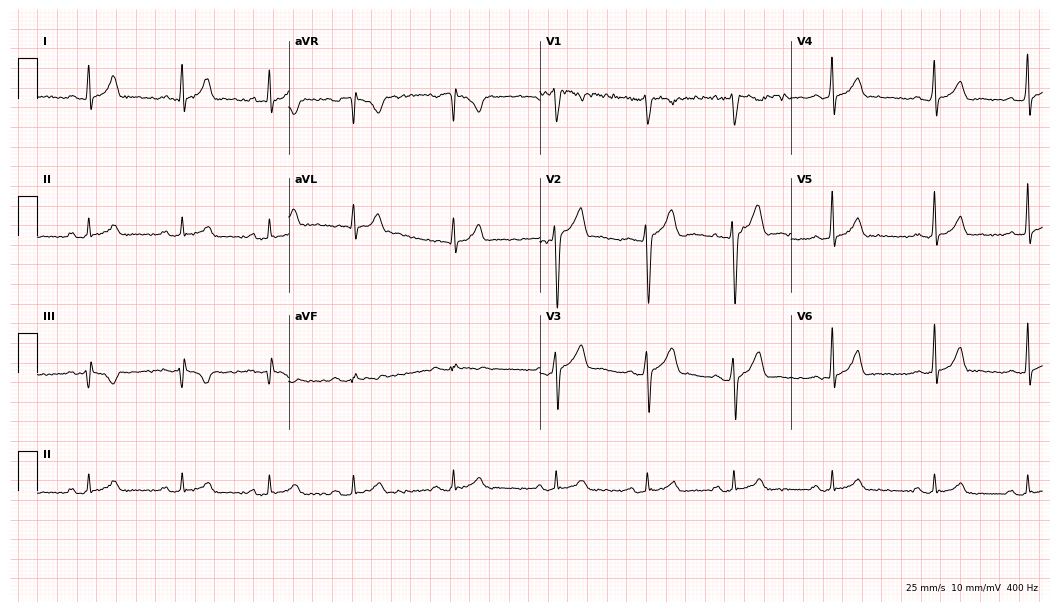
Electrocardiogram (10.2-second recording at 400 Hz), a 21-year-old male patient. Overall reading on record: normal ECG.